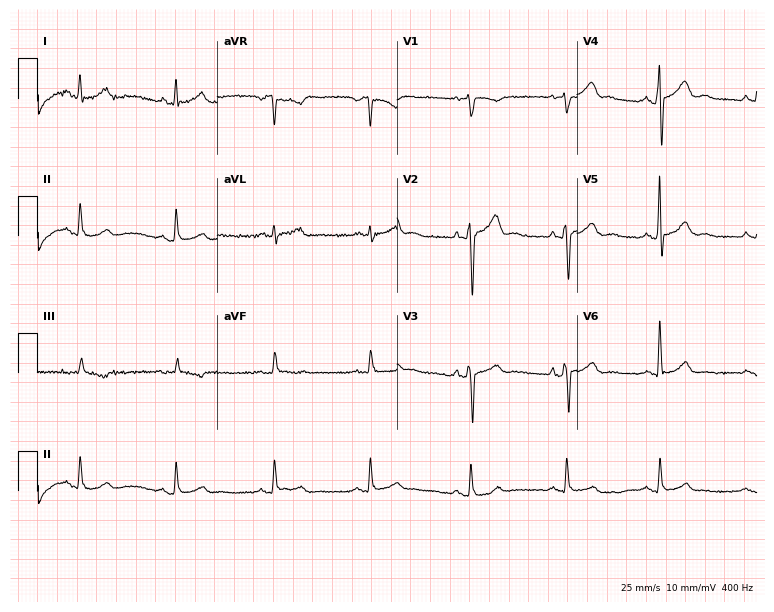
12-lead ECG (7.3-second recording at 400 Hz) from a 39-year-old male patient. Labelled as a normal ECG.